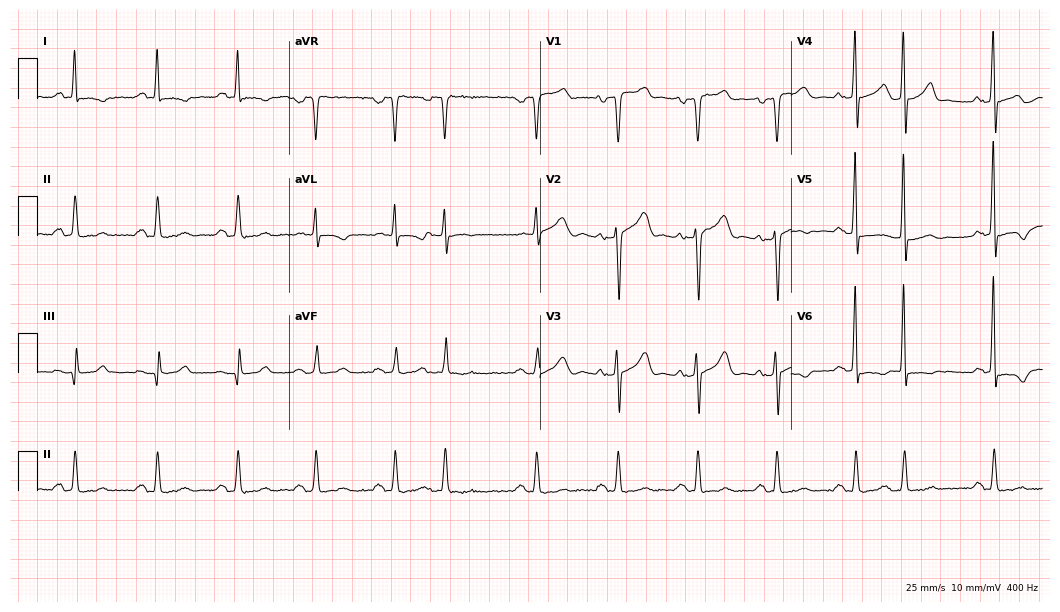
Standard 12-lead ECG recorded from a 60-year-old male. None of these six findings is recorded: first-degree AV block, right bundle branch block, left bundle branch block, sinus bradycardia, atrial fibrillation, sinus tachycardia.